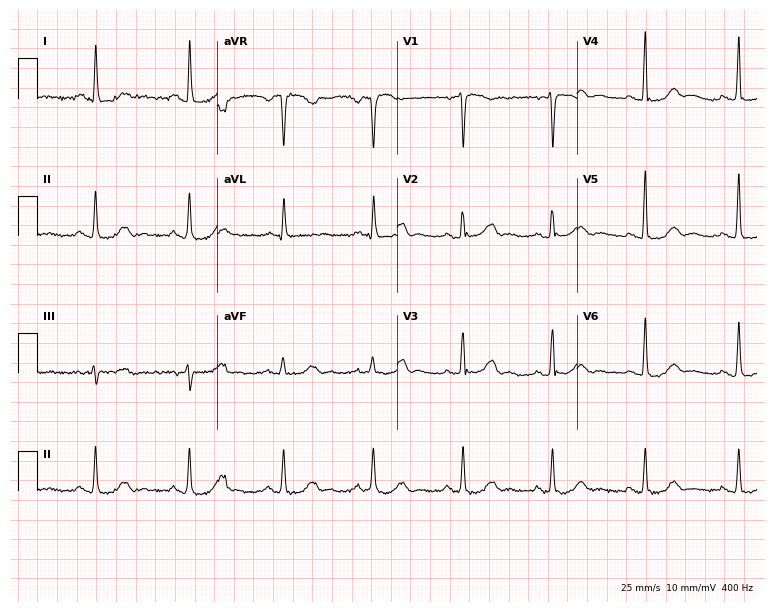
ECG (7.3-second recording at 400 Hz) — a 59-year-old male. Labelled as a normal ECG.